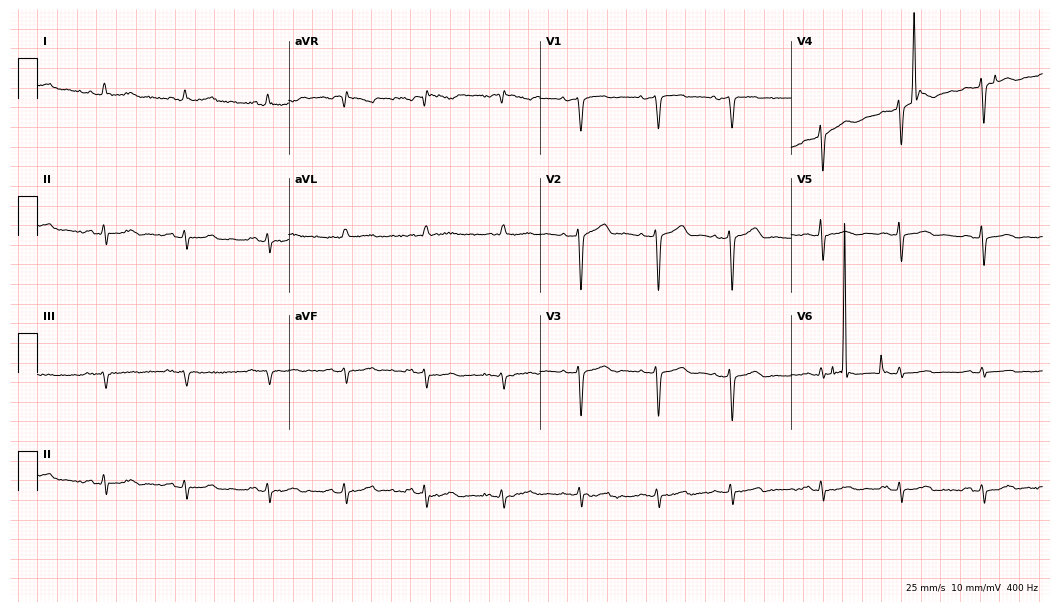
Standard 12-lead ECG recorded from a female patient, 63 years old (10.2-second recording at 400 Hz). None of these six findings is recorded: first-degree AV block, right bundle branch block, left bundle branch block, sinus bradycardia, atrial fibrillation, sinus tachycardia.